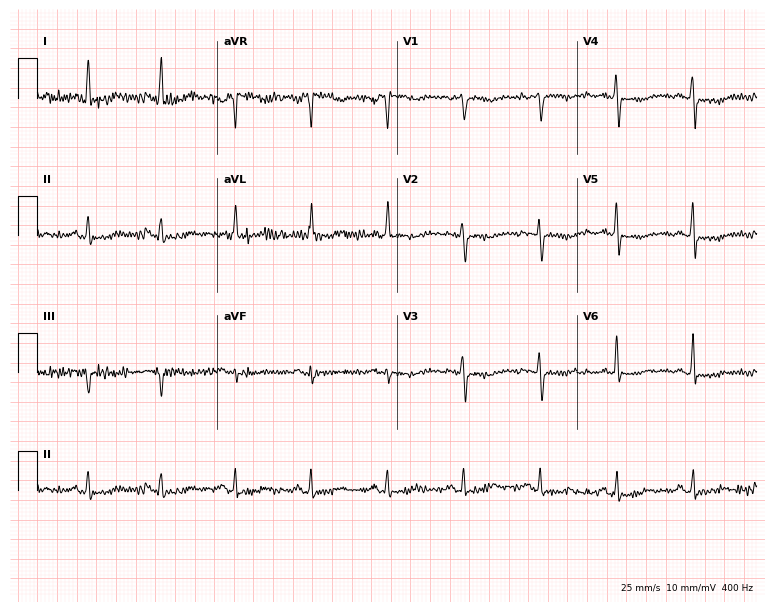
ECG (7.3-second recording at 400 Hz) — a 50-year-old female patient. Screened for six findings — first-degree AV block, right bundle branch block, left bundle branch block, sinus bradycardia, atrial fibrillation, sinus tachycardia — none is recorded.